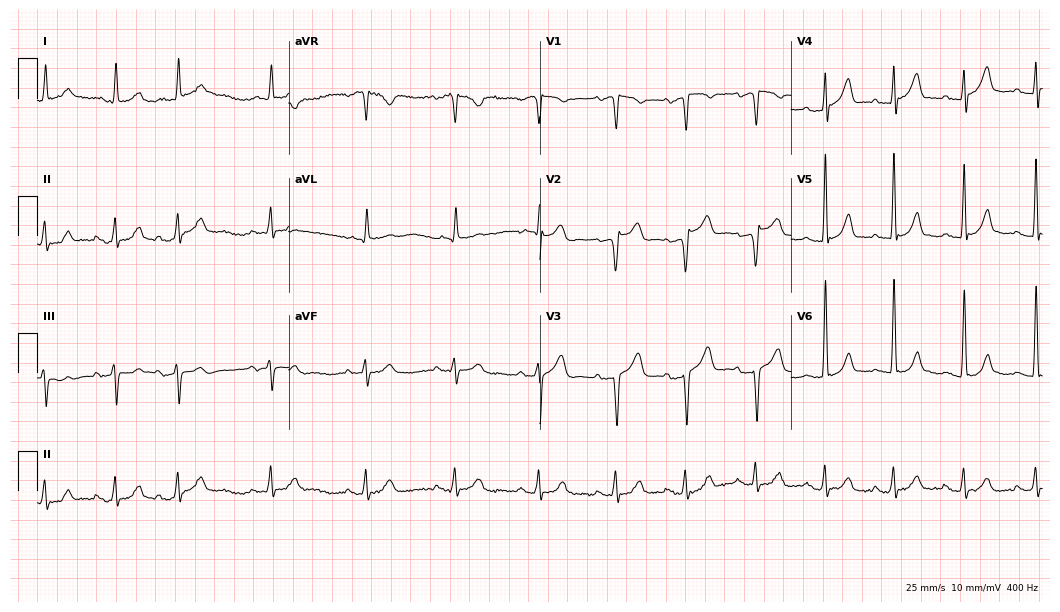
12-lead ECG from a male patient, 76 years old (10.2-second recording at 400 Hz). Recorded interpretation: within normal limits.